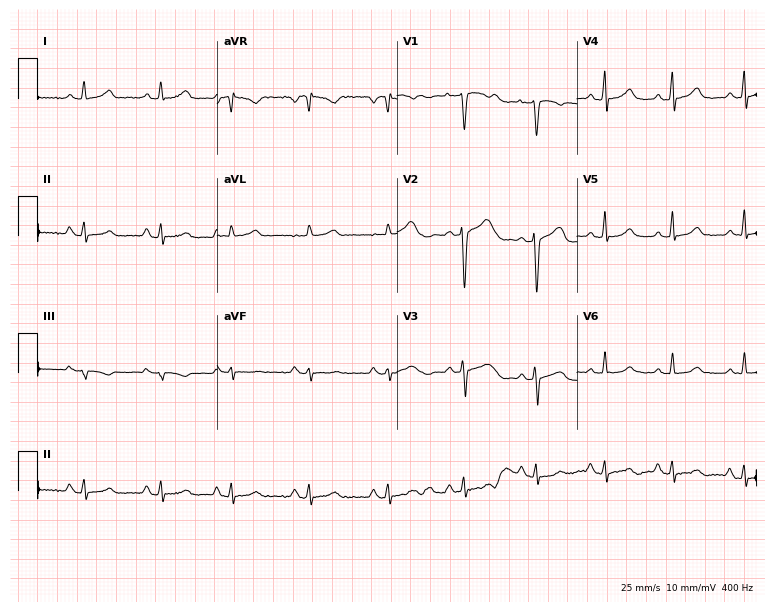
ECG — a 29-year-old female patient. Screened for six findings — first-degree AV block, right bundle branch block, left bundle branch block, sinus bradycardia, atrial fibrillation, sinus tachycardia — none is recorded. Findings outside these six are not listed.